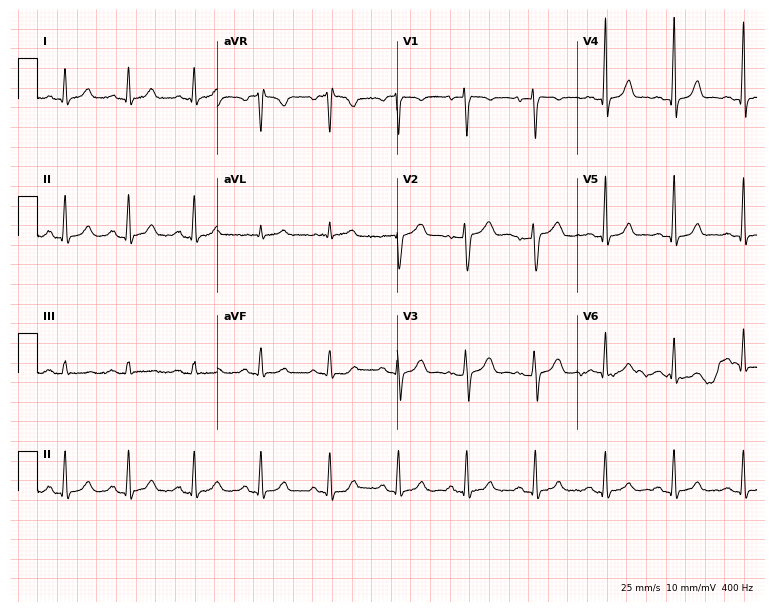
Resting 12-lead electrocardiogram. Patient: a 41-year-old female. Read as a normal ECG.